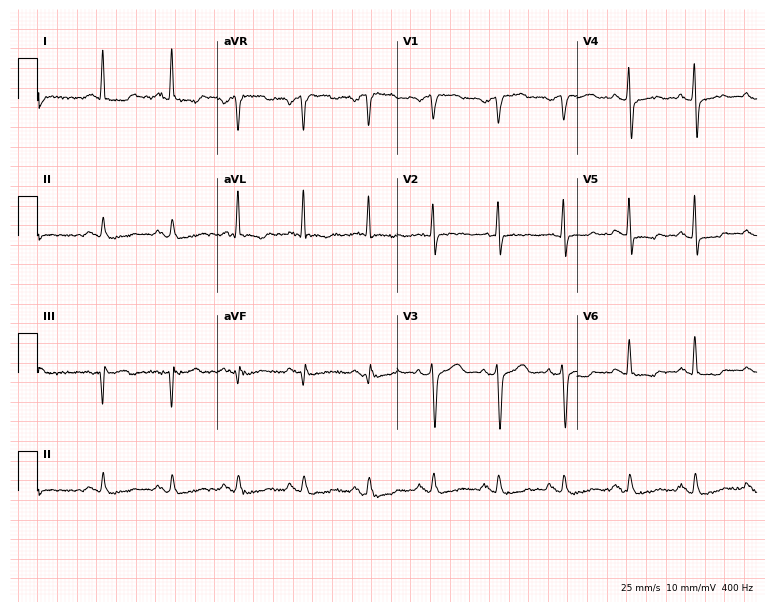
12-lead ECG (7.3-second recording at 400 Hz) from a 62-year-old male. Screened for six findings — first-degree AV block, right bundle branch block, left bundle branch block, sinus bradycardia, atrial fibrillation, sinus tachycardia — none is recorded.